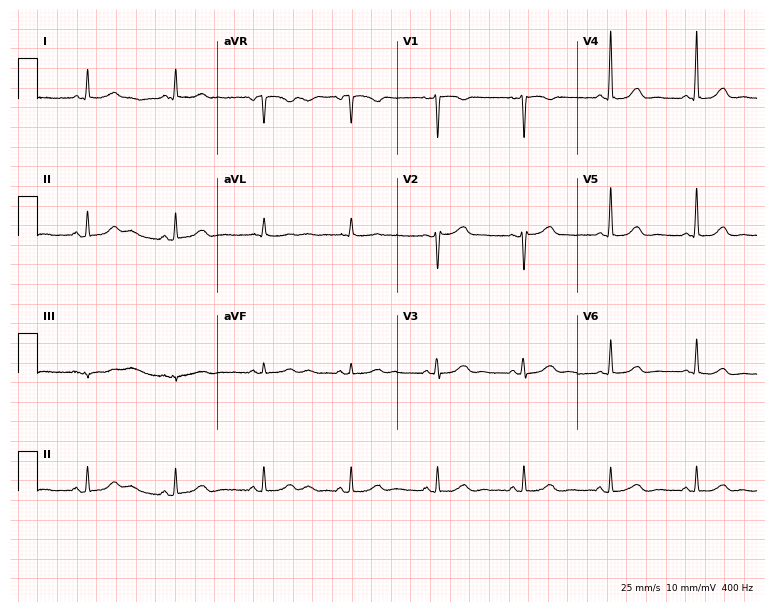
12-lead ECG from a 75-year-old woman (7.3-second recording at 400 Hz). Recorded interpretation: within normal limits.